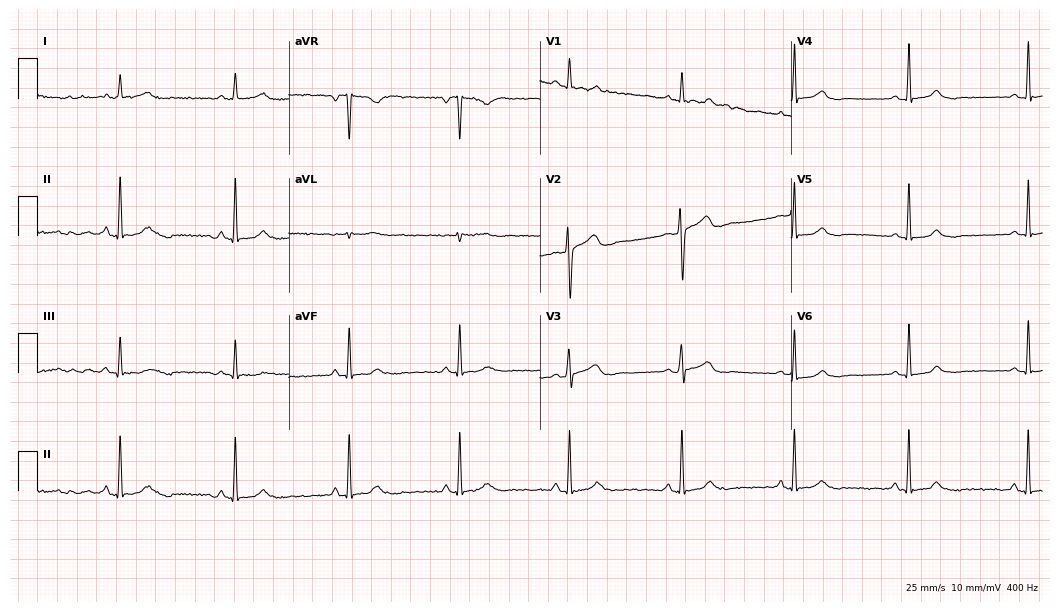
Electrocardiogram, a female patient, 49 years old. Overall reading on record: normal ECG.